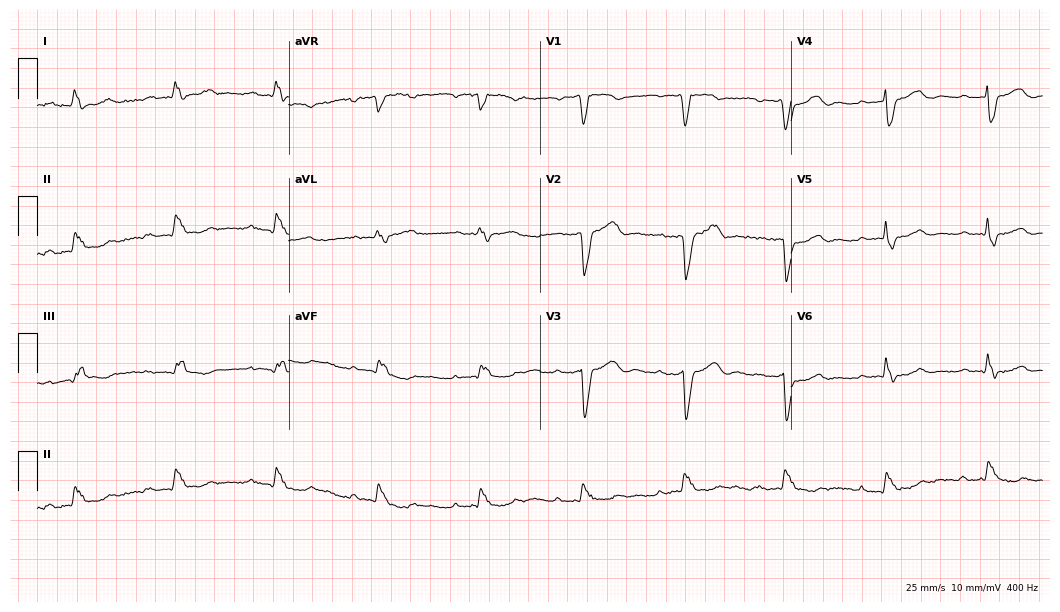
Resting 12-lead electrocardiogram. Patient: a male, 80 years old. The tracing shows first-degree AV block, left bundle branch block.